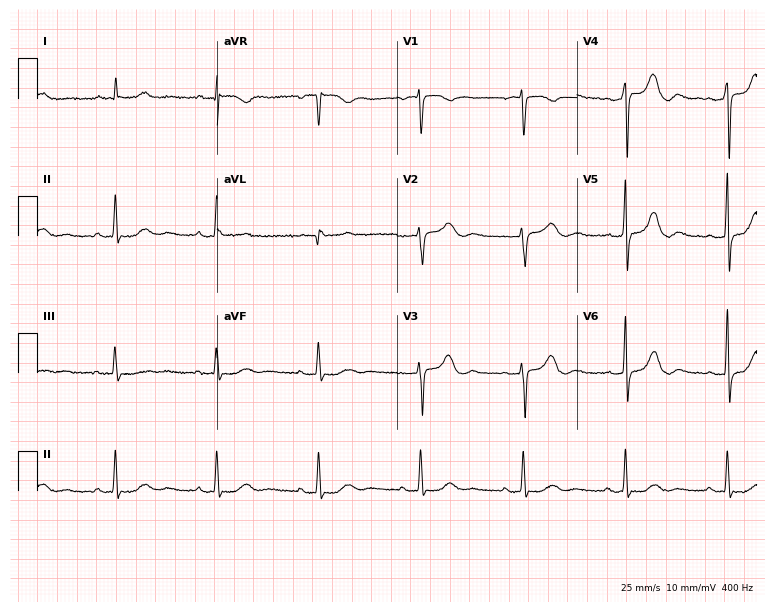
12-lead ECG (7.3-second recording at 400 Hz) from a female patient, 85 years old. Labelled as a normal ECG.